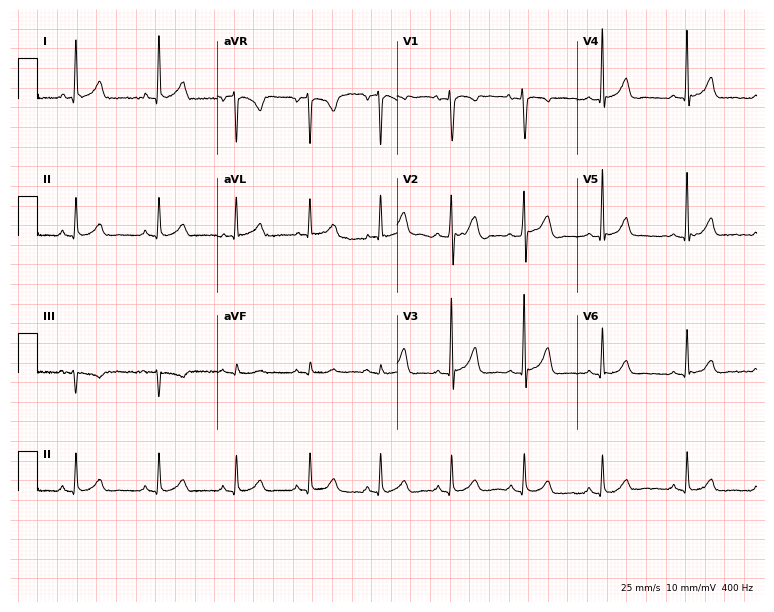
12-lead ECG from a 38-year-old female patient (7.3-second recording at 400 Hz). No first-degree AV block, right bundle branch block, left bundle branch block, sinus bradycardia, atrial fibrillation or sinus tachycardia recorded for this tracing.